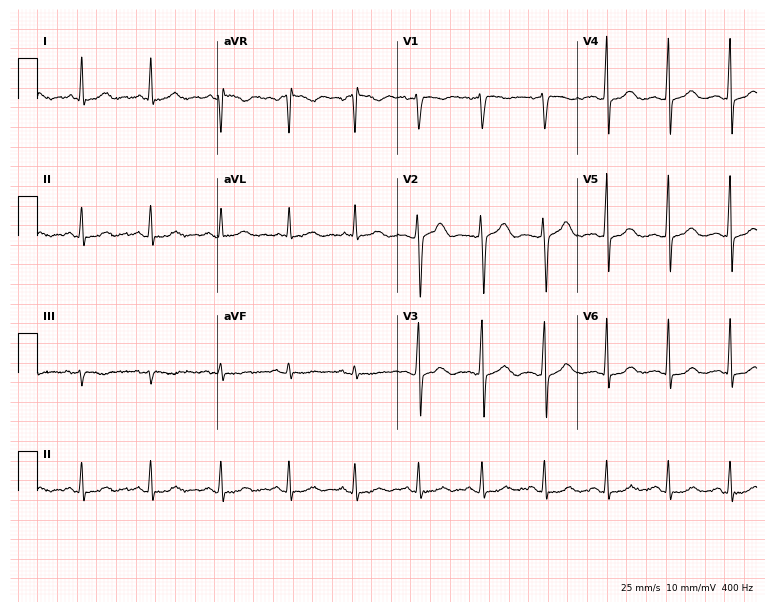
Resting 12-lead electrocardiogram (7.3-second recording at 400 Hz). Patient: a 38-year-old male. Read as a normal ECG.